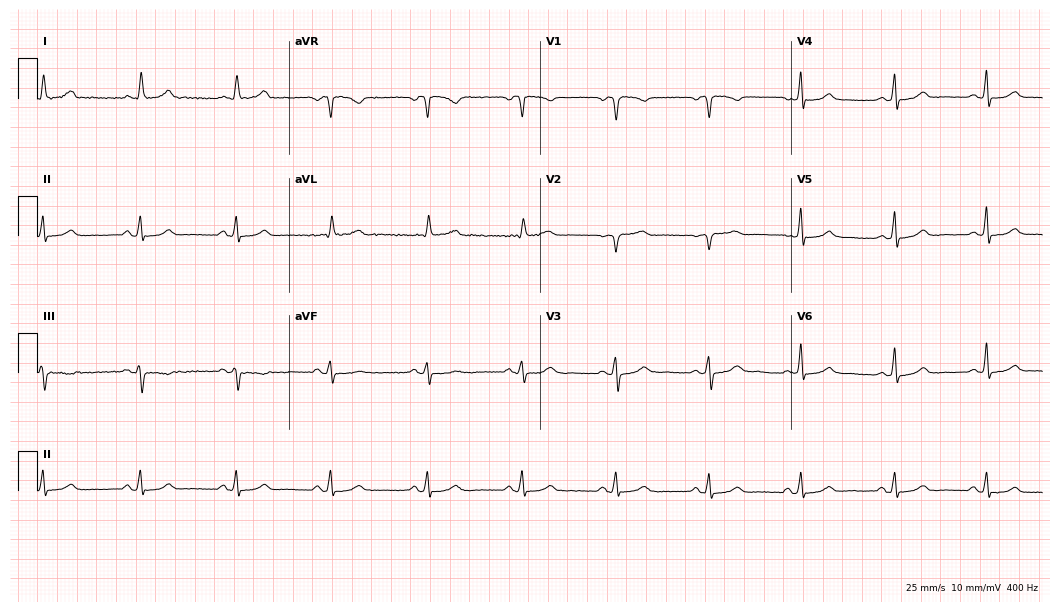
12-lead ECG from a 46-year-old woman. Labelled as a normal ECG.